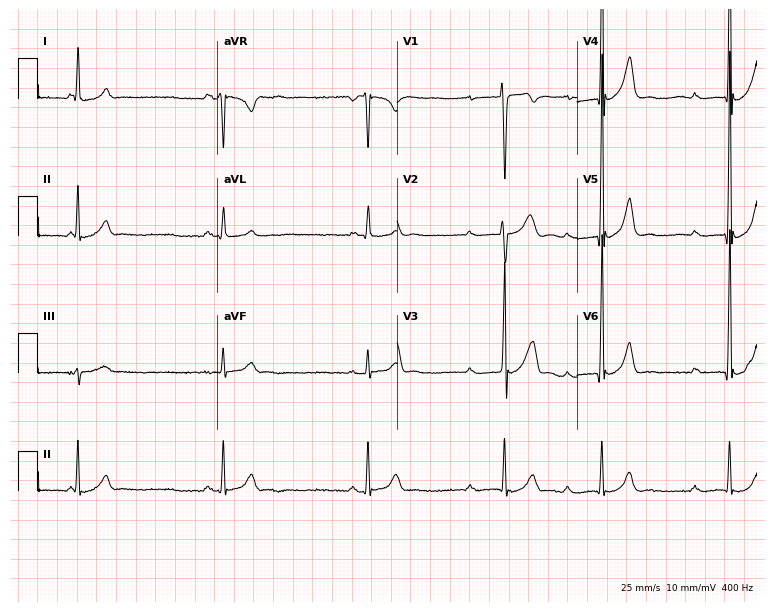
Resting 12-lead electrocardiogram. Patient: a man, 19 years old. The tracing shows first-degree AV block, sinus bradycardia (a sinus rate of 50 beats per minute or less).